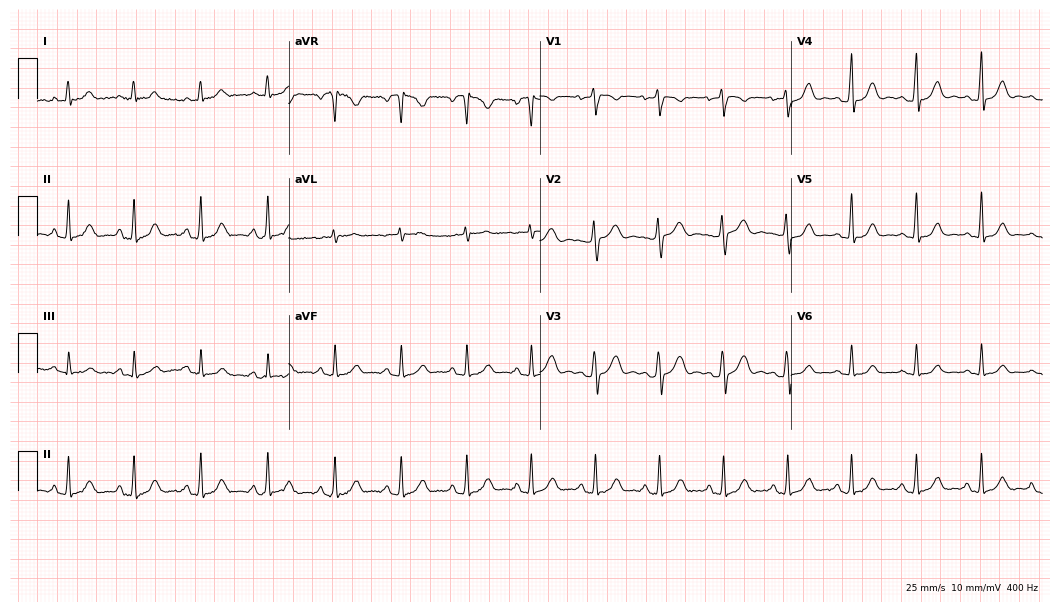
Resting 12-lead electrocardiogram. Patient: a female, 31 years old. None of these six findings is recorded: first-degree AV block, right bundle branch block, left bundle branch block, sinus bradycardia, atrial fibrillation, sinus tachycardia.